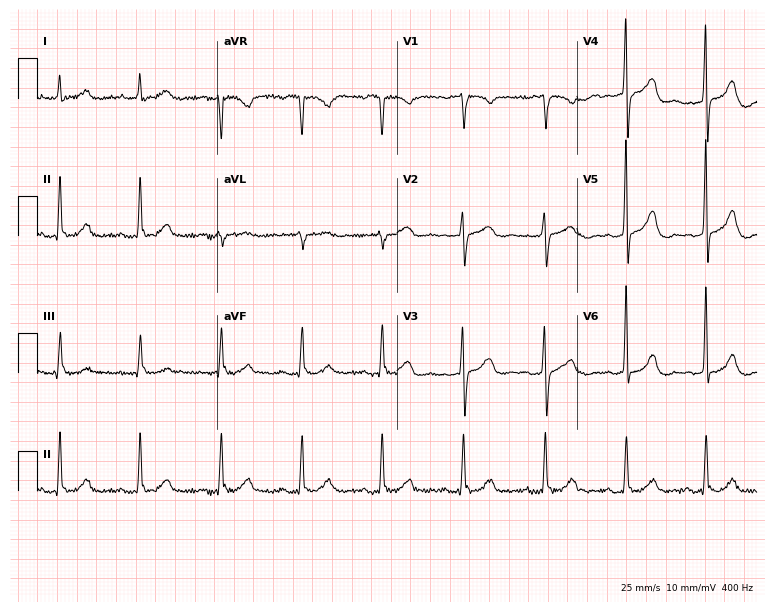
Electrocardiogram (7.3-second recording at 400 Hz), a woman, 67 years old. Of the six screened findings (first-degree AV block, right bundle branch block, left bundle branch block, sinus bradycardia, atrial fibrillation, sinus tachycardia), none is recorded.